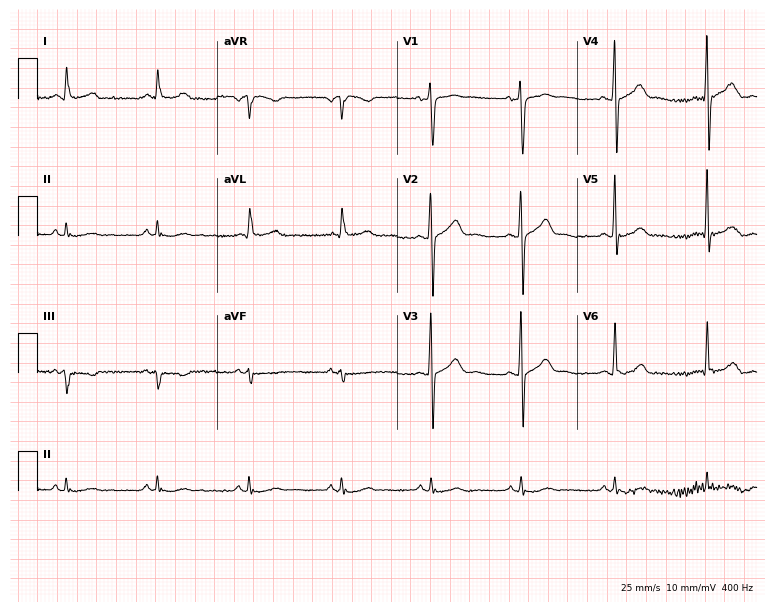
Standard 12-lead ECG recorded from a male, 38 years old. Read as a normal ECG.